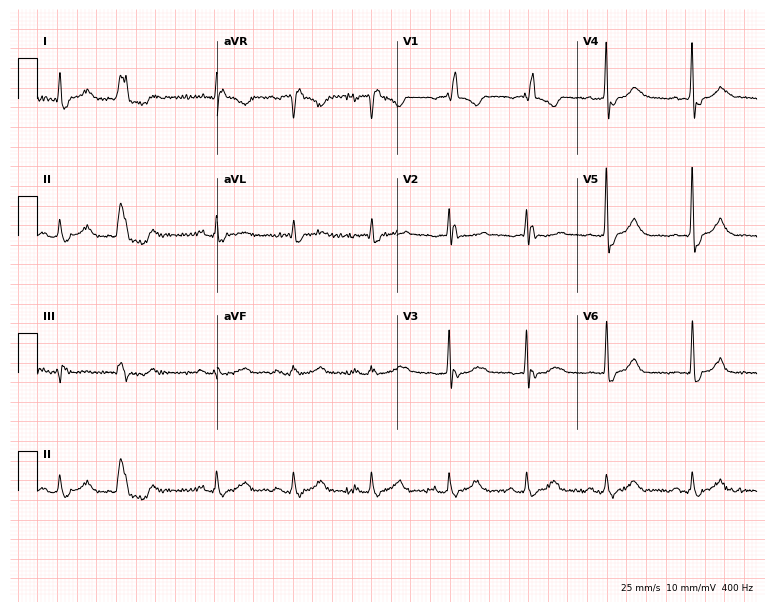
Resting 12-lead electrocardiogram. Patient: a 70-year-old man. The tracing shows right bundle branch block.